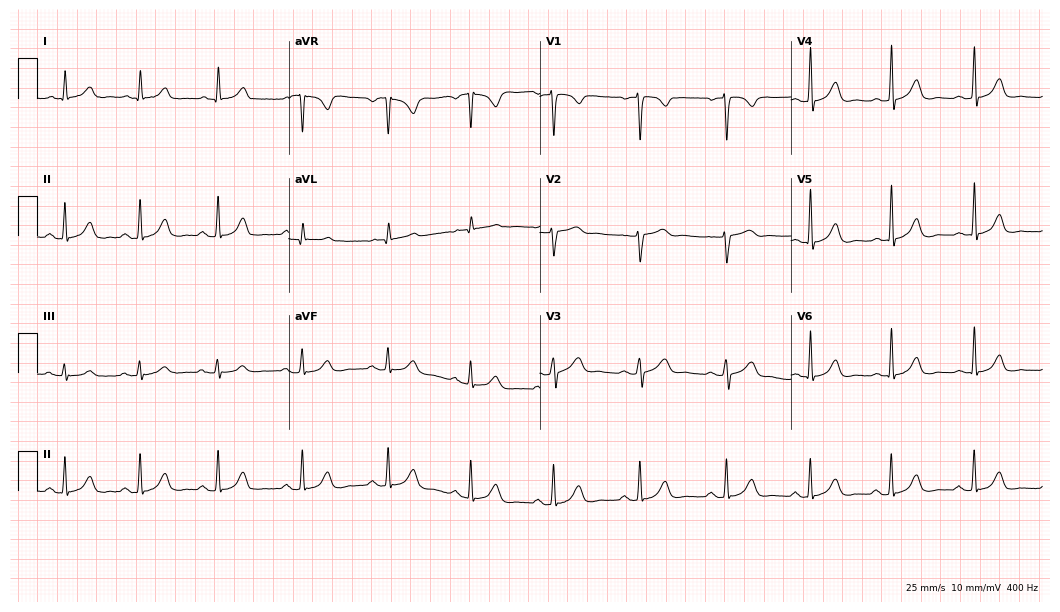
Resting 12-lead electrocardiogram. Patient: a female, 60 years old. None of these six findings is recorded: first-degree AV block, right bundle branch block, left bundle branch block, sinus bradycardia, atrial fibrillation, sinus tachycardia.